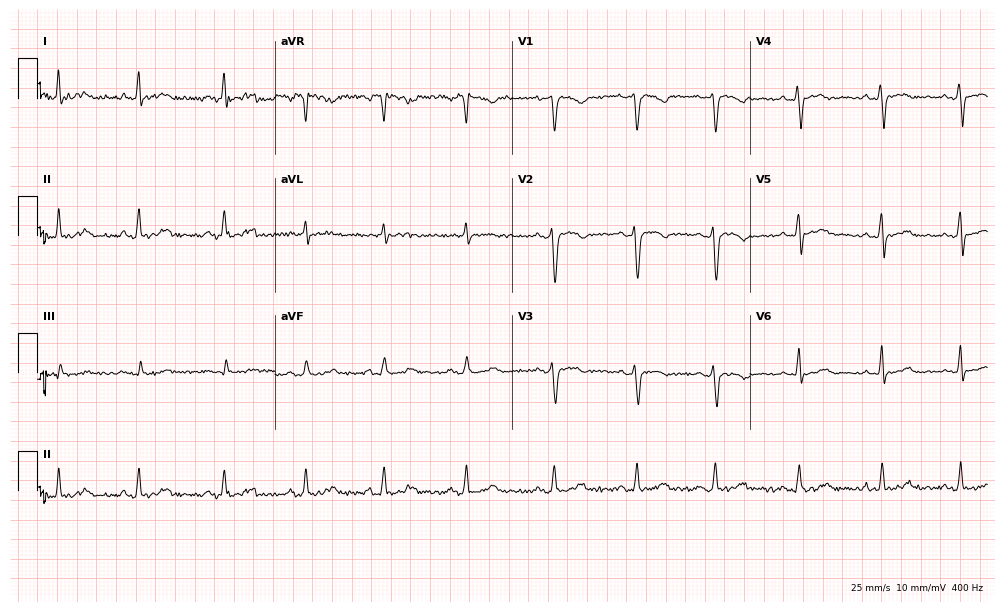
12-lead ECG from a woman, 24 years old. Recorded interpretation: within normal limits.